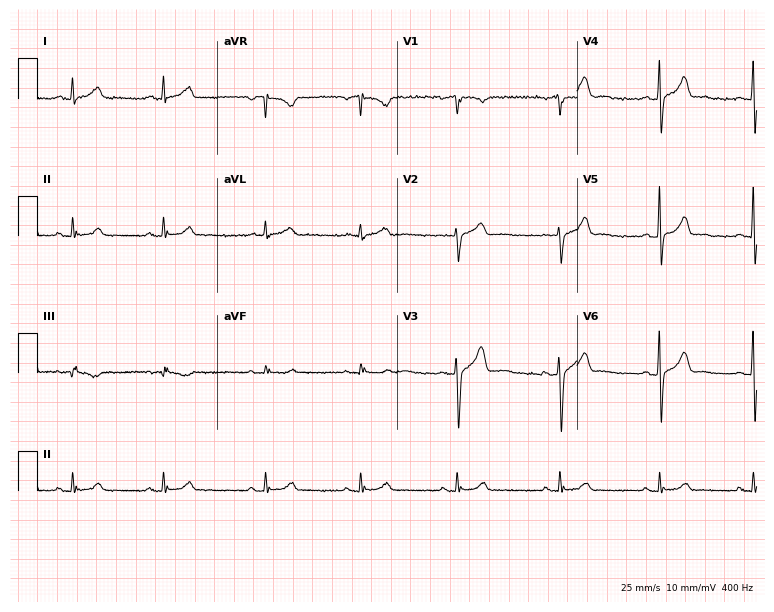
Resting 12-lead electrocardiogram (7.3-second recording at 400 Hz). Patient: a man, 37 years old. Read as a normal ECG.